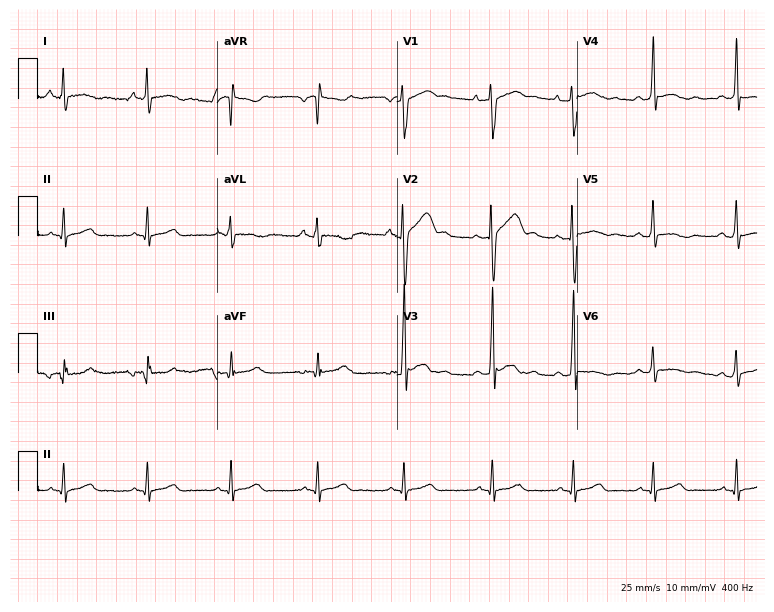
12-lead ECG from a 20-year-old male patient (7.3-second recording at 400 Hz). No first-degree AV block, right bundle branch block, left bundle branch block, sinus bradycardia, atrial fibrillation or sinus tachycardia recorded for this tracing. Only these six findings were labelled.